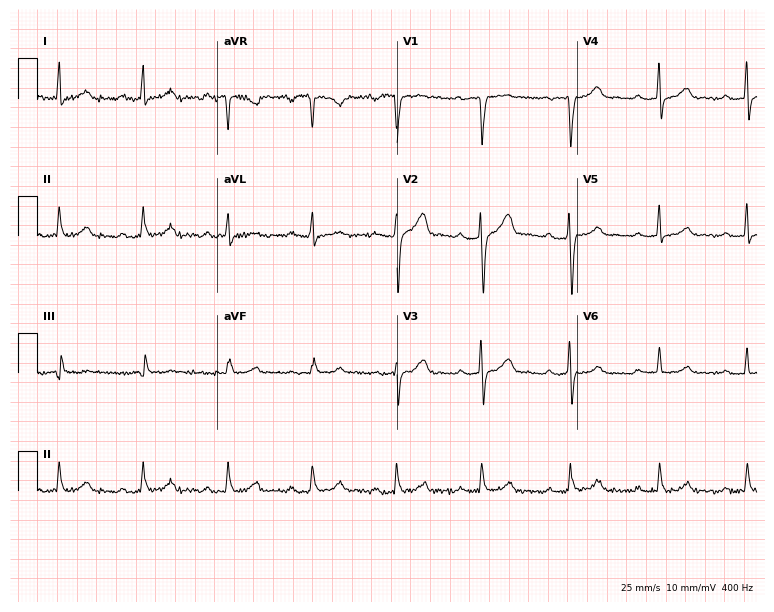
ECG — a male, 45 years old. Findings include first-degree AV block.